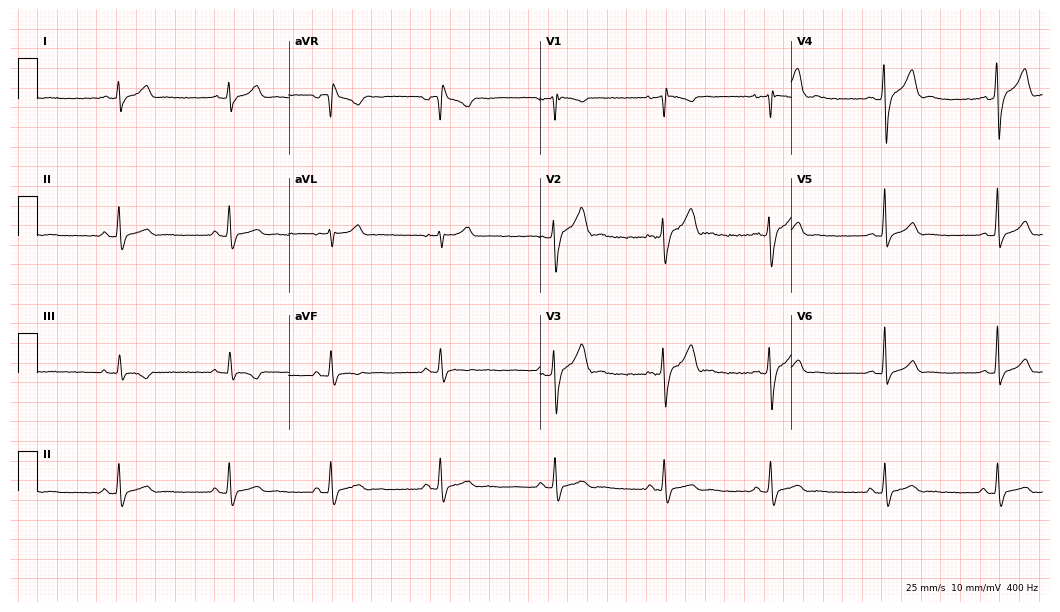
12-lead ECG from a 23-year-old man. Screened for six findings — first-degree AV block, right bundle branch block (RBBB), left bundle branch block (LBBB), sinus bradycardia, atrial fibrillation (AF), sinus tachycardia — none is recorded. Findings outside these six are not listed.